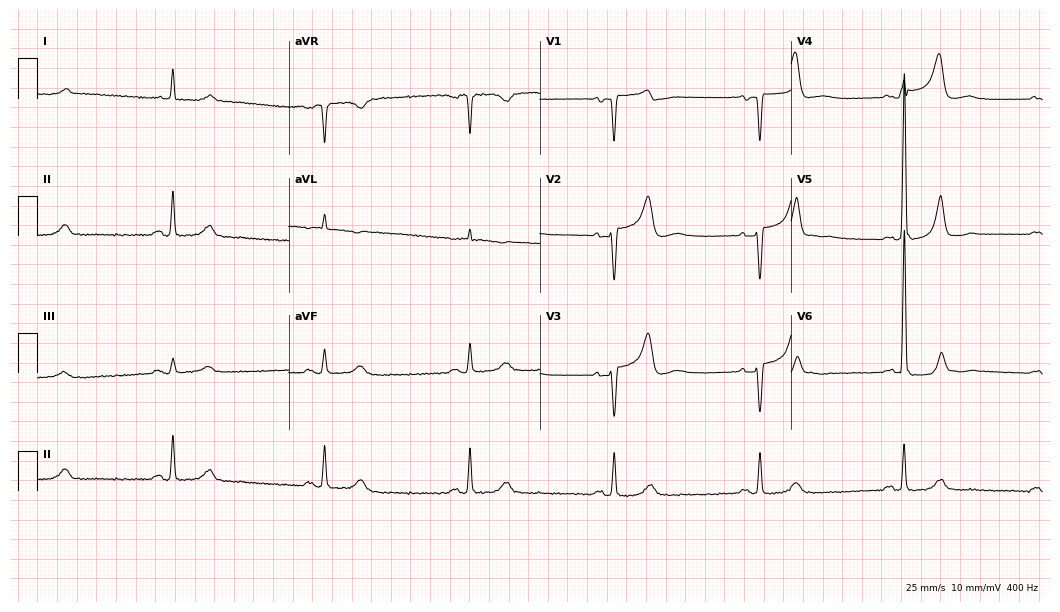
Resting 12-lead electrocardiogram. Patient: a 74-year-old male. The tracing shows sinus bradycardia (a sinus rate of 50 beats per minute or less).